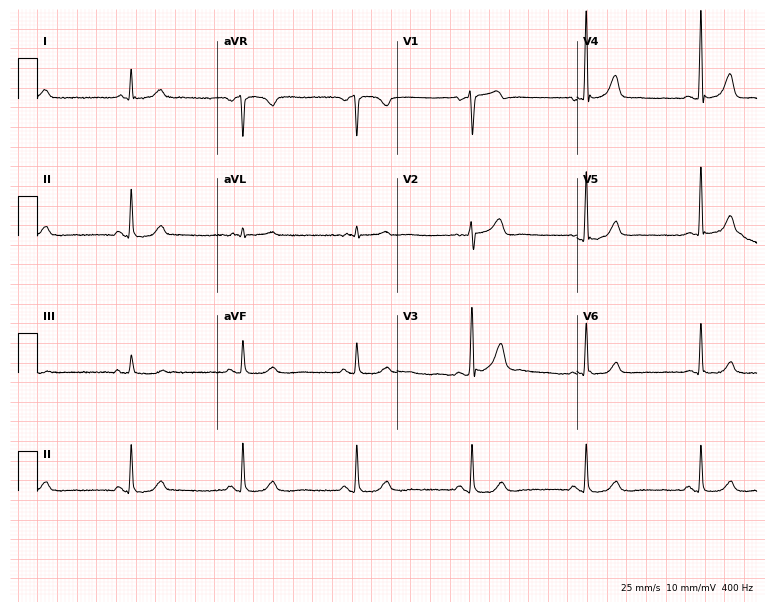
ECG (7.3-second recording at 400 Hz) — a male patient, 50 years old. Screened for six findings — first-degree AV block, right bundle branch block (RBBB), left bundle branch block (LBBB), sinus bradycardia, atrial fibrillation (AF), sinus tachycardia — none is recorded.